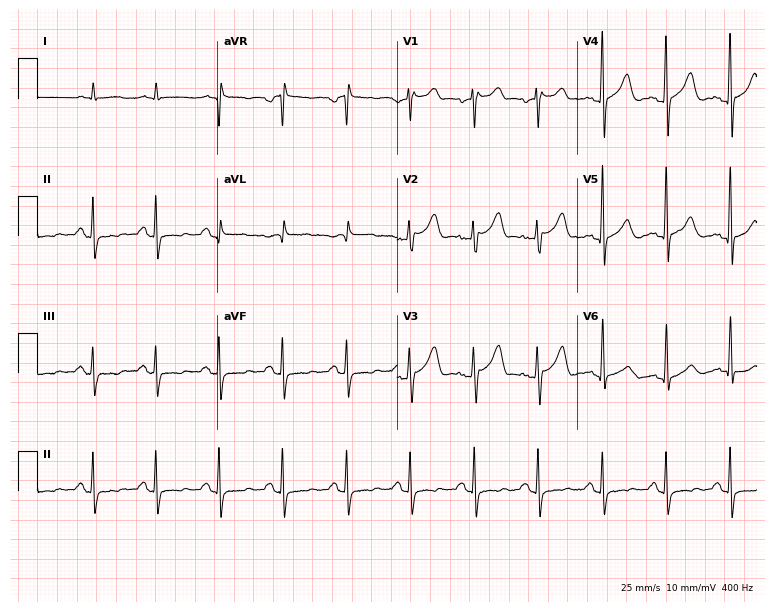
12-lead ECG (7.3-second recording at 400 Hz) from a 68-year-old male. Labelled as a normal ECG.